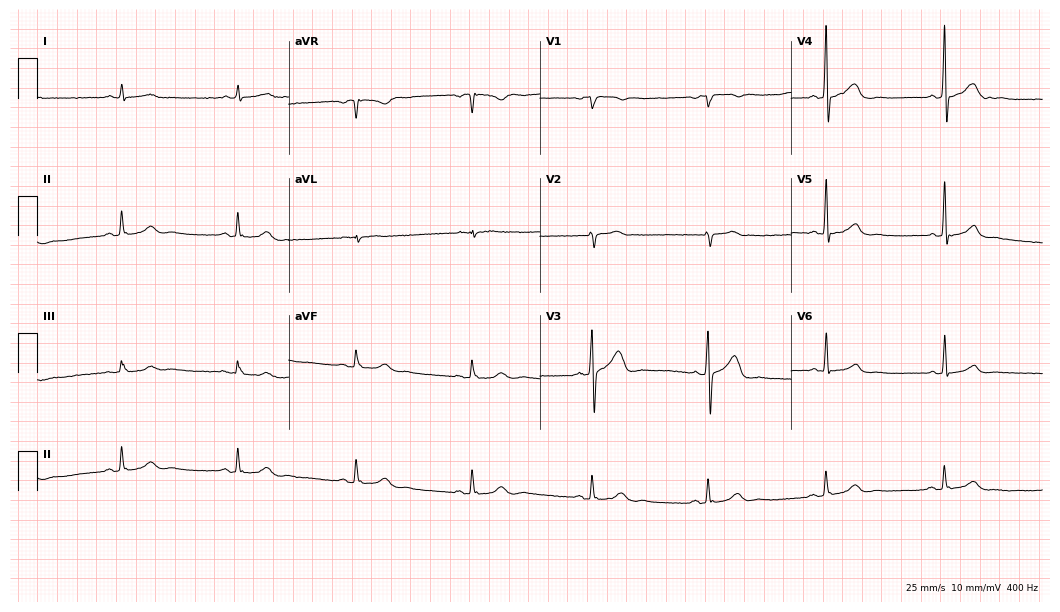
Resting 12-lead electrocardiogram (10.2-second recording at 400 Hz). Patient: a man, 70 years old. Read as a normal ECG.